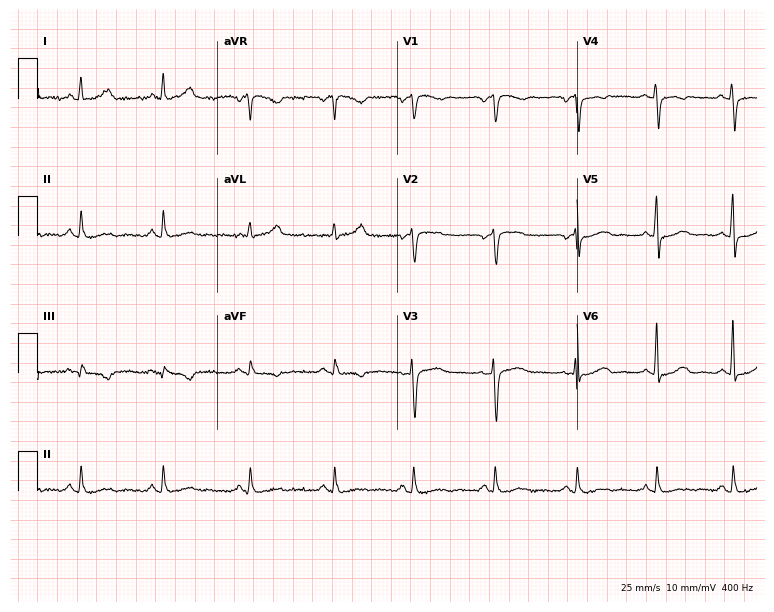
Resting 12-lead electrocardiogram (7.3-second recording at 400 Hz). Patient: a female, 48 years old. None of these six findings is recorded: first-degree AV block, right bundle branch block, left bundle branch block, sinus bradycardia, atrial fibrillation, sinus tachycardia.